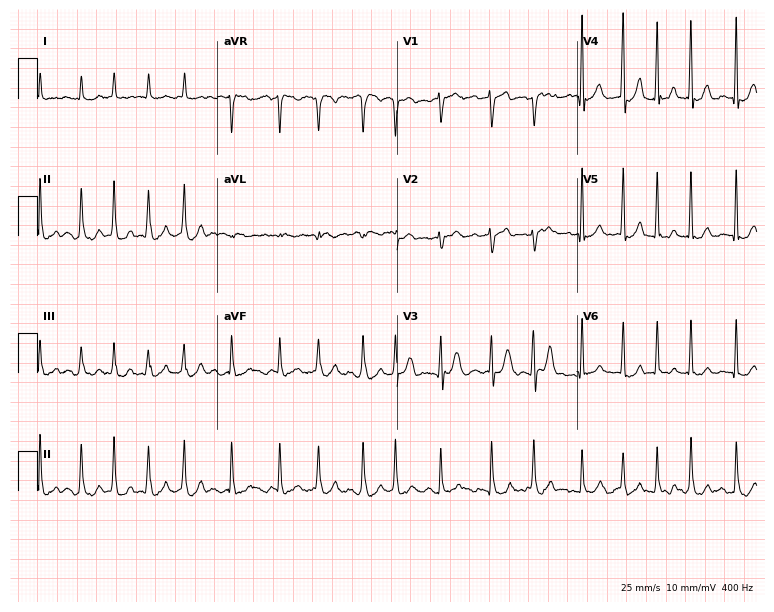
ECG — a male, 72 years old. Findings include atrial fibrillation.